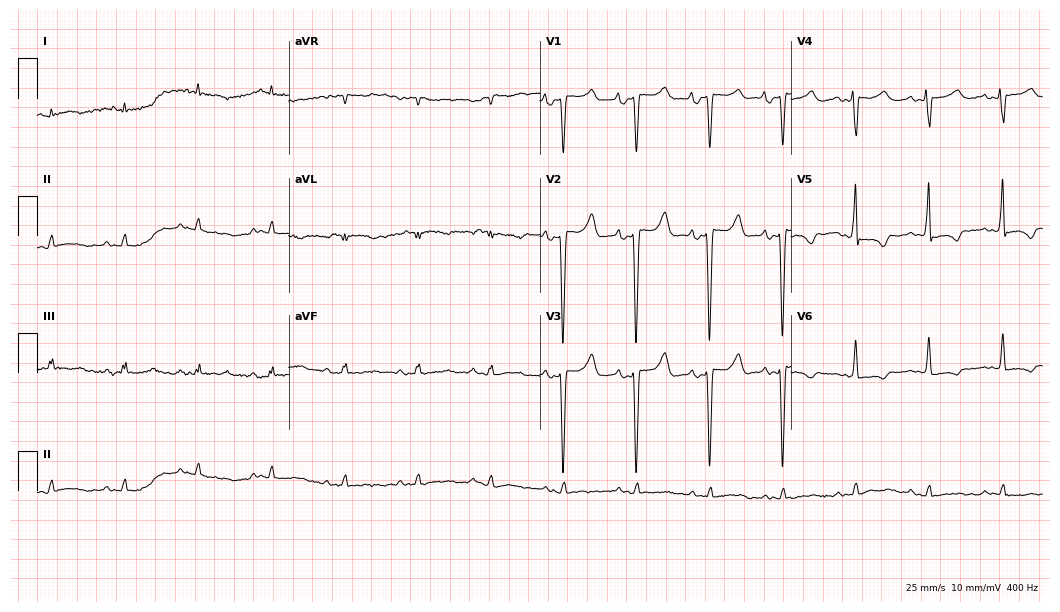
Electrocardiogram, a male patient, 59 years old. Of the six screened findings (first-degree AV block, right bundle branch block, left bundle branch block, sinus bradycardia, atrial fibrillation, sinus tachycardia), none is recorded.